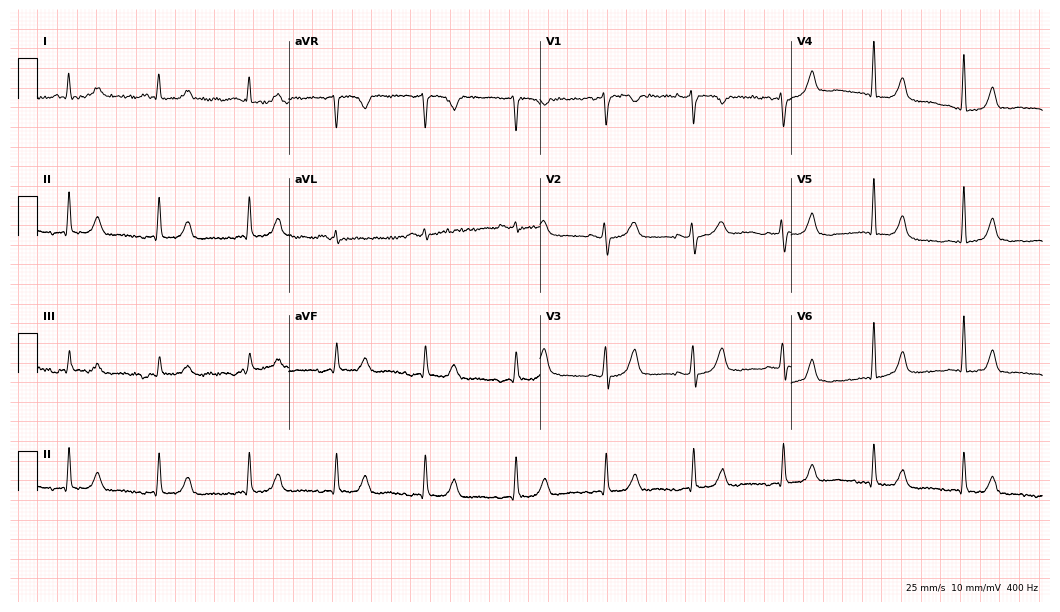
12-lead ECG from a woman, 62 years old. Screened for six findings — first-degree AV block, right bundle branch block (RBBB), left bundle branch block (LBBB), sinus bradycardia, atrial fibrillation (AF), sinus tachycardia — none is recorded.